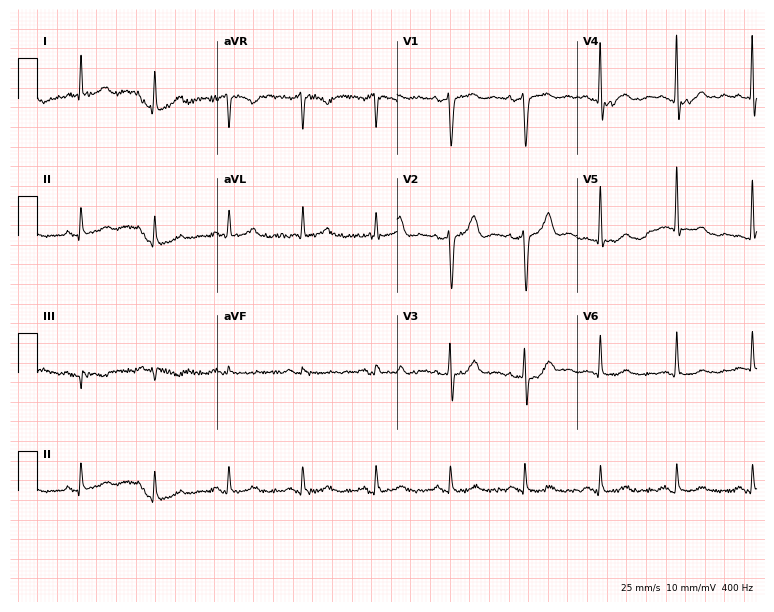
12-lead ECG from a 73-year-old man (7.3-second recording at 400 Hz). No first-degree AV block, right bundle branch block, left bundle branch block, sinus bradycardia, atrial fibrillation or sinus tachycardia recorded for this tracing.